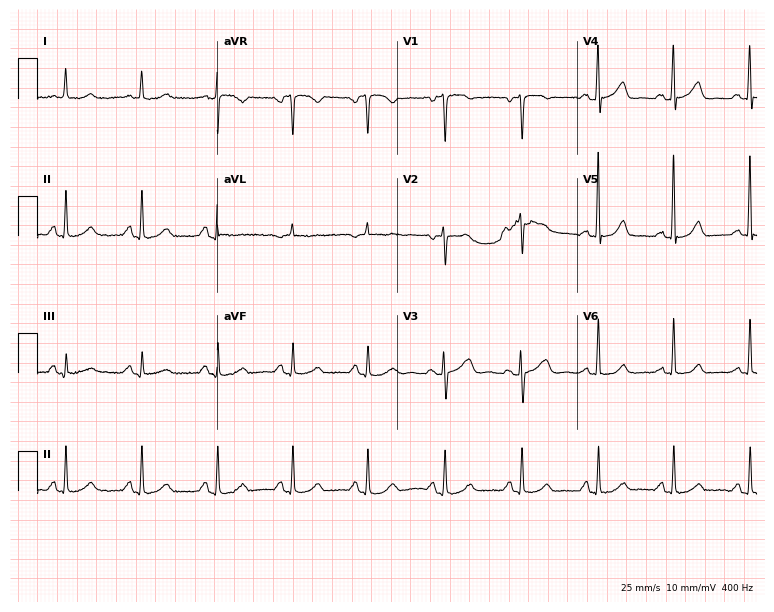
12-lead ECG from a 61-year-old woman (7.3-second recording at 400 Hz). Recorded interpretation: within normal limits.